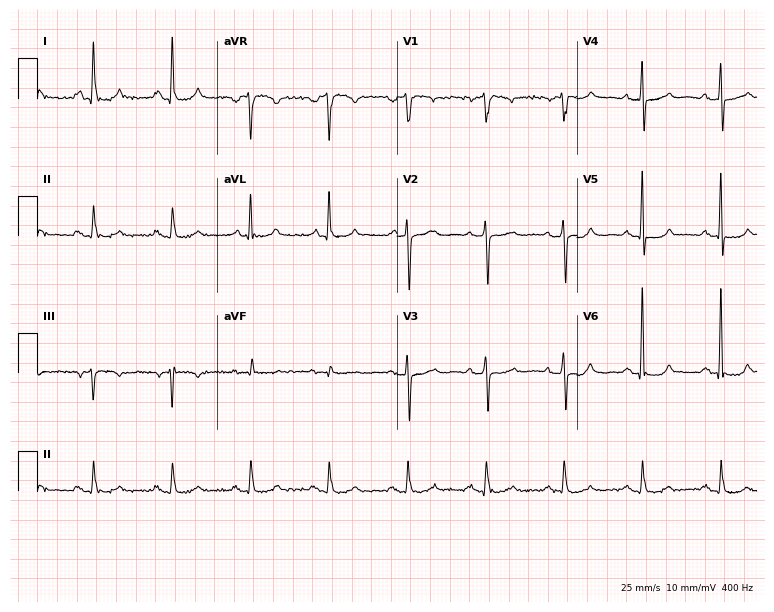
Resting 12-lead electrocardiogram. Patient: a male, 76 years old. None of these six findings is recorded: first-degree AV block, right bundle branch block, left bundle branch block, sinus bradycardia, atrial fibrillation, sinus tachycardia.